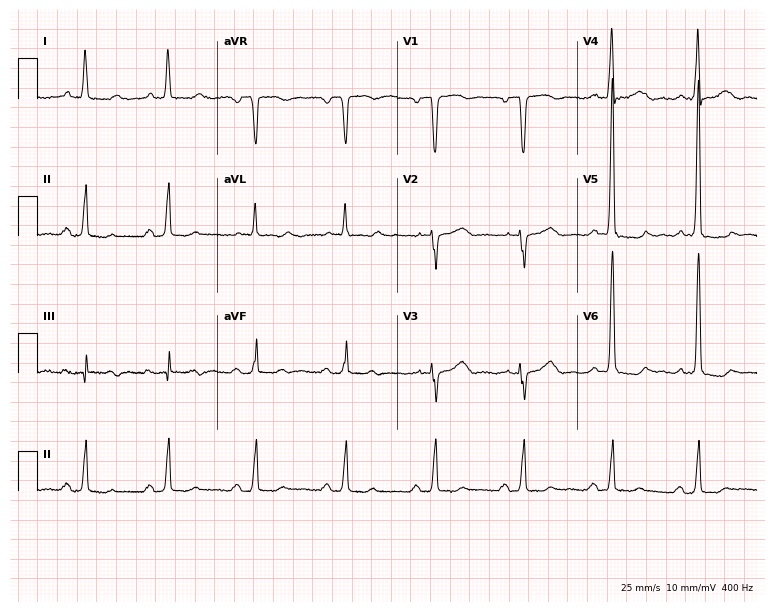
Standard 12-lead ECG recorded from a woman, 71 years old. None of these six findings is recorded: first-degree AV block, right bundle branch block, left bundle branch block, sinus bradycardia, atrial fibrillation, sinus tachycardia.